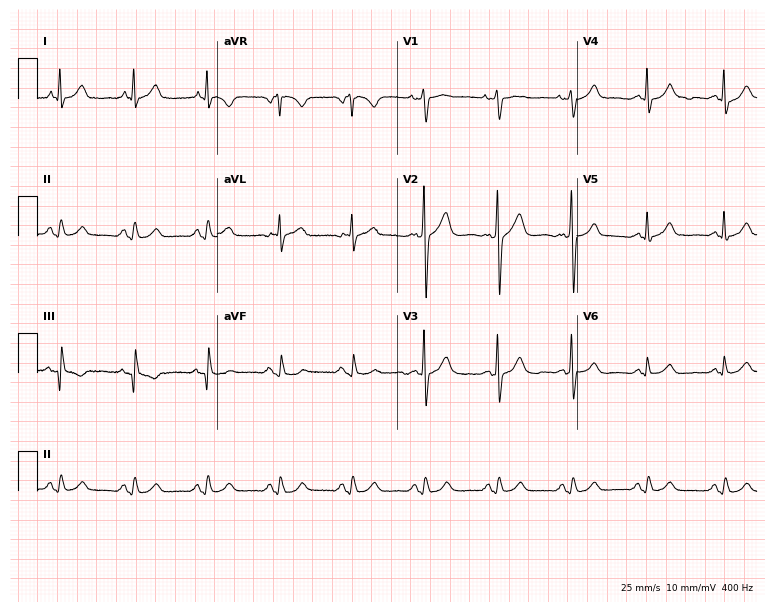
Standard 12-lead ECG recorded from a male, 63 years old. Read as a normal ECG.